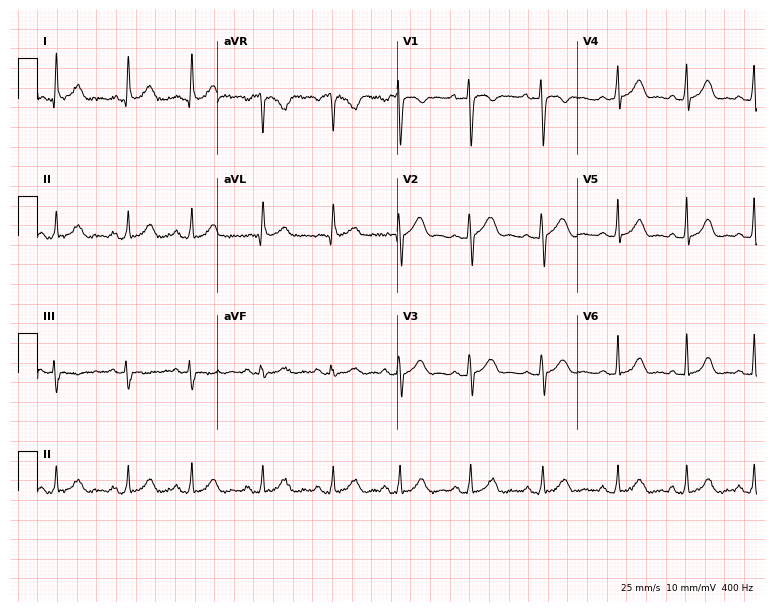
Electrocardiogram, a female, 23 years old. Overall reading on record: normal ECG.